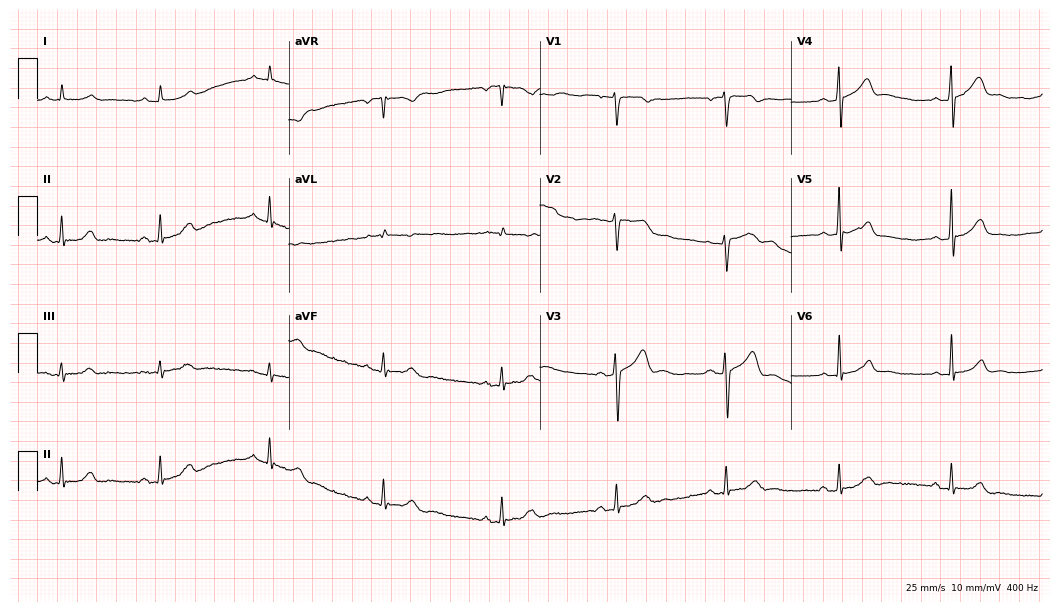
Resting 12-lead electrocardiogram (10.2-second recording at 400 Hz). Patient: a 35-year-old man. Read as a normal ECG.